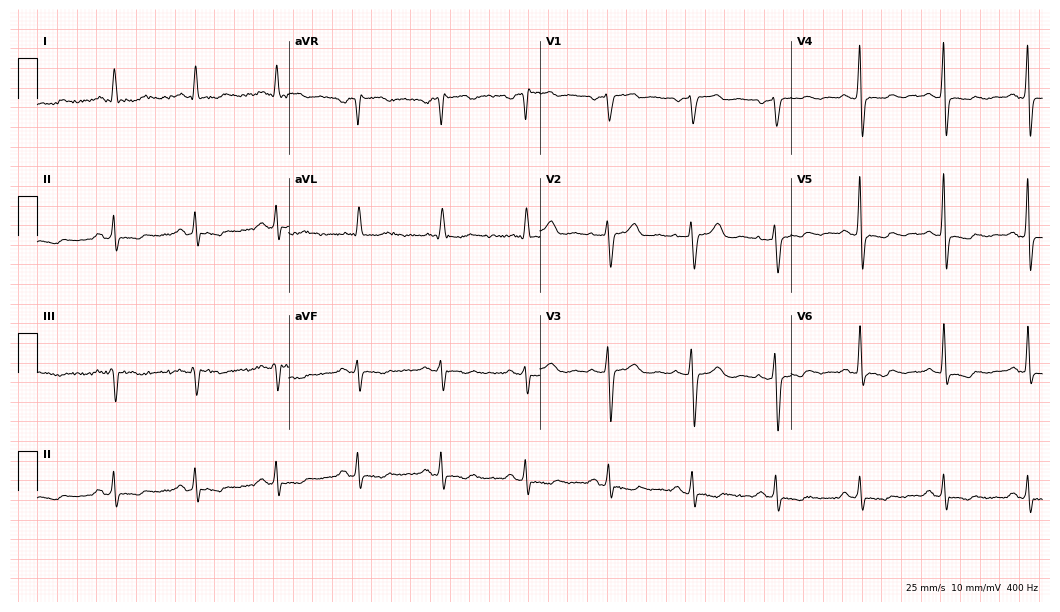
Electrocardiogram, a 71-year-old male. Of the six screened findings (first-degree AV block, right bundle branch block (RBBB), left bundle branch block (LBBB), sinus bradycardia, atrial fibrillation (AF), sinus tachycardia), none is recorded.